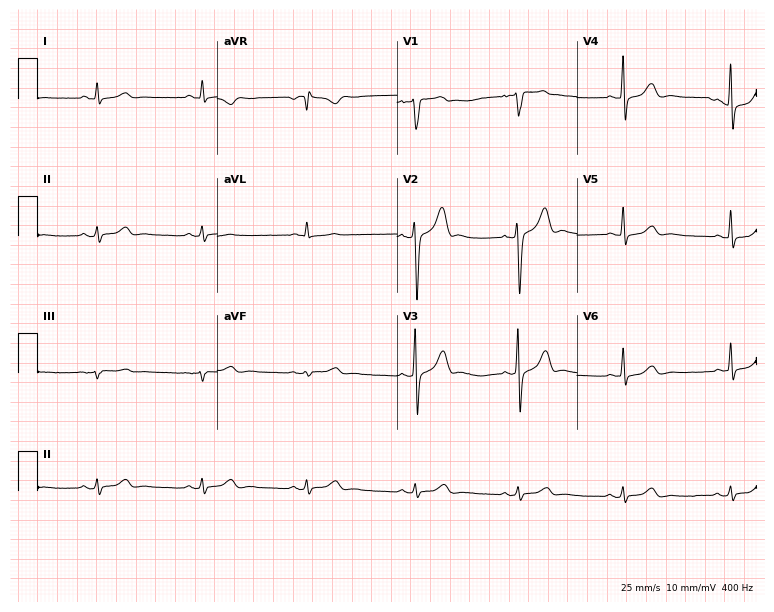
Standard 12-lead ECG recorded from a 40-year-old man. None of these six findings is recorded: first-degree AV block, right bundle branch block (RBBB), left bundle branch block (LBBB), sinus bradycardia, atrial fibrillation (AF), sinus tachycardia.